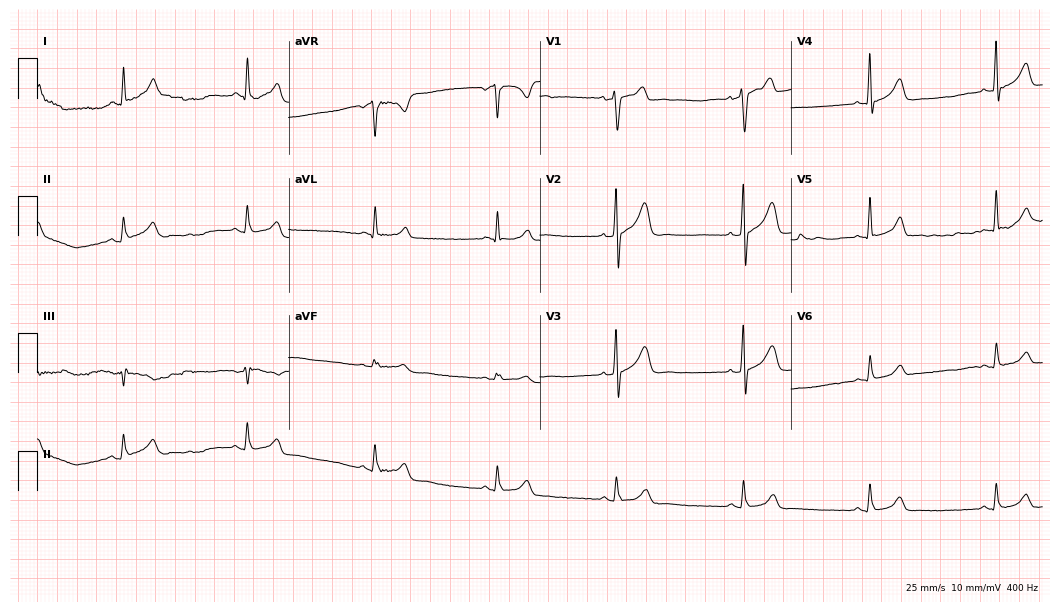
ECG — a 46-year-old man. Findings include sinus bradycardia (a sinus rate of 50 beats per minute or less).